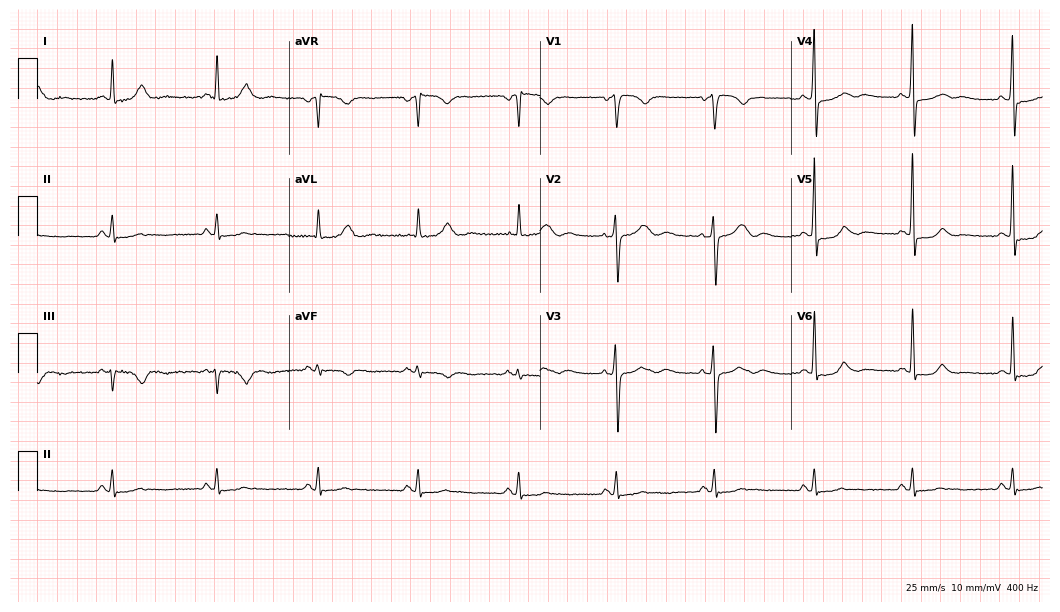
Electrocardiogram, a 60-year-old man. Of the six screened findings (first-degree AV block, right bundle branch block, left bundle branch block, sinus bradycardia, atrial fibrillation, sinus tachycardia), none is recorded.